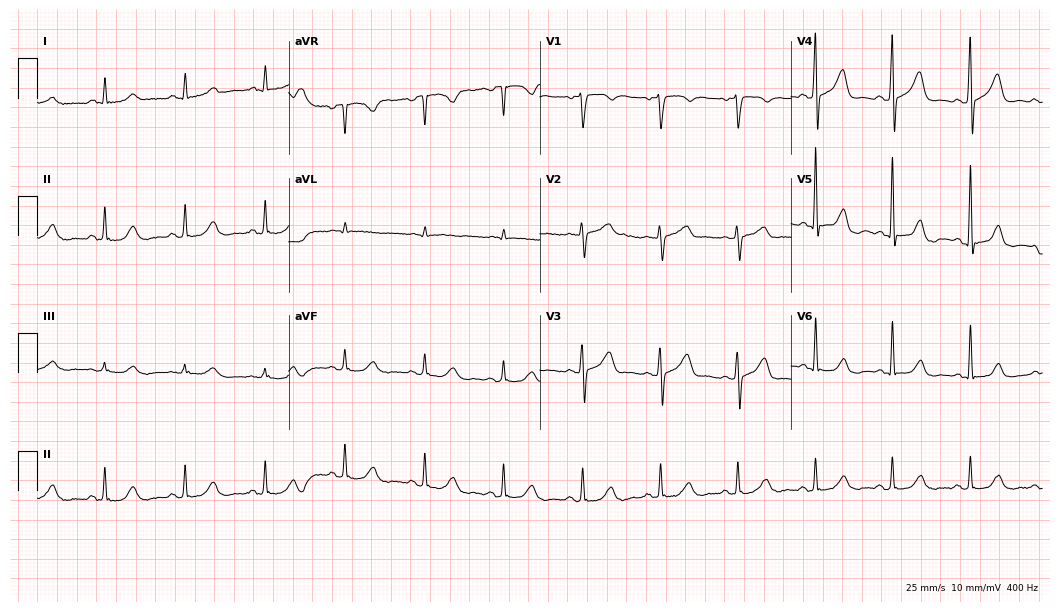
Electrocardiogram (10.2-second recording at 400 Hz), a man, 71 years old. Overall reading on record: normal ECG.